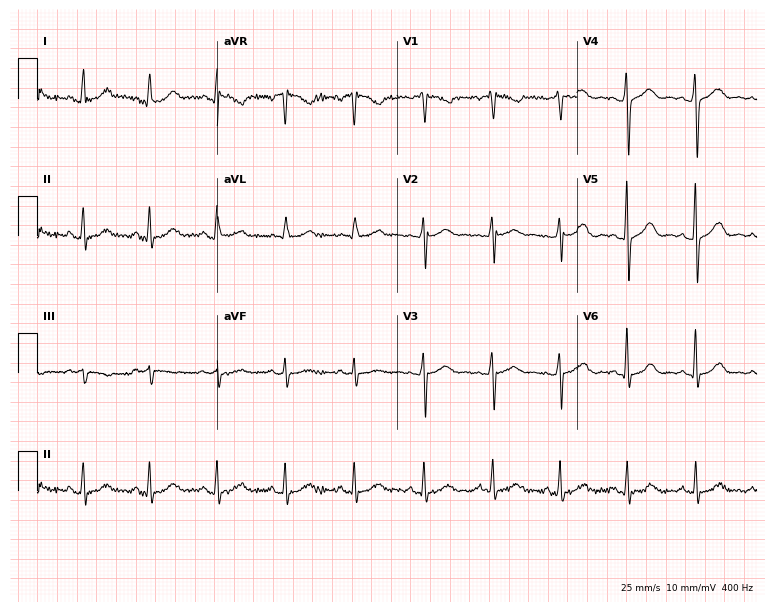
Electrocardiogram, a 59-year-old woman. Overall reading on record: normal ECG.